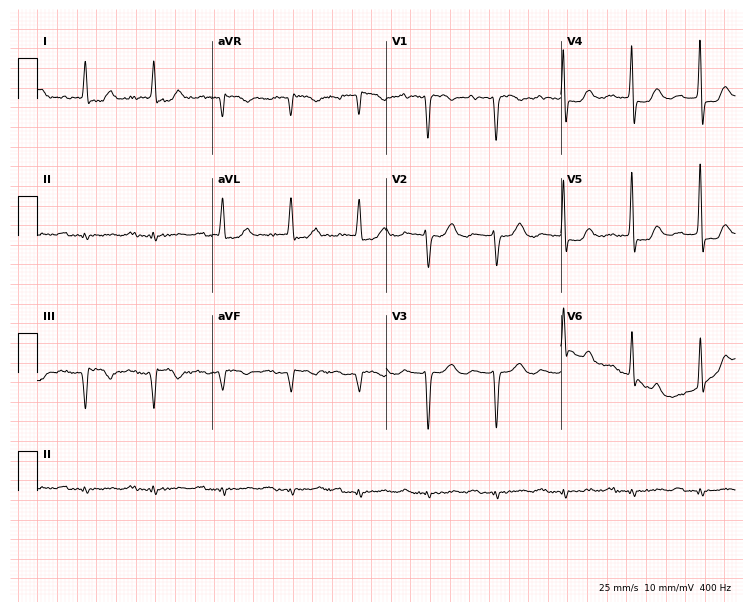
Electrocardiogram (7.1-second recording at 400 Hz), a woman, 84 years old. Of the six screened findings (first-degree AV block, right bundle branch block (RBBB), left bundle branch block (LBBB), sinus bradycardia, atrial fibrillation (AF), sinus tachycardia), none is recorded.